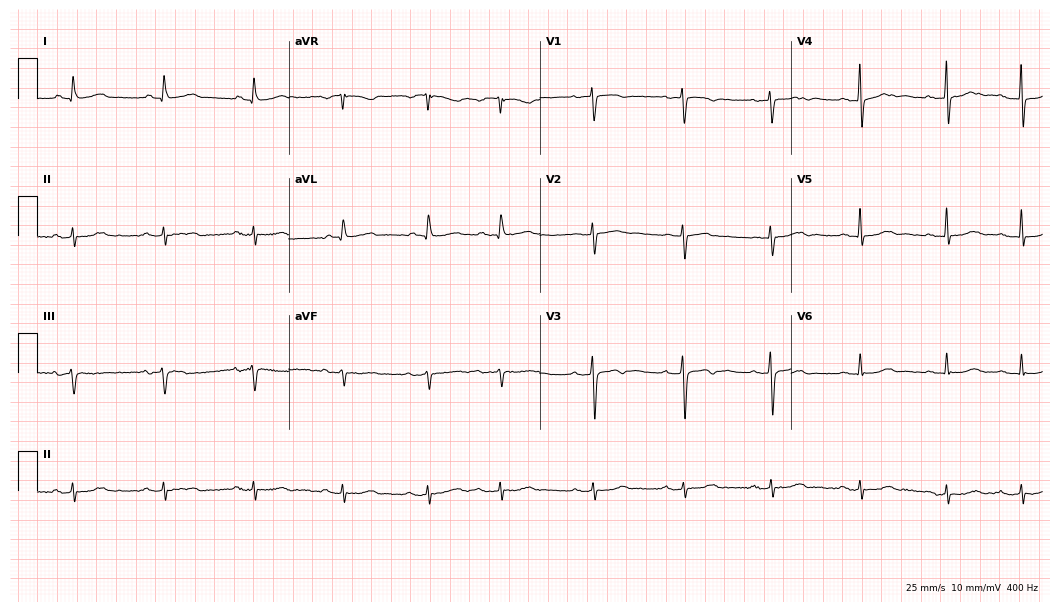
Standard 12-lead ECG recorded from a 77-year-old female patient. None of these six findings is recorded: first-degree AV block, right bundle branch block, left bundle branch block, sinus bradycardia, atrial fibrillation, sinus tachycardia. Findings outside these six are not listed.